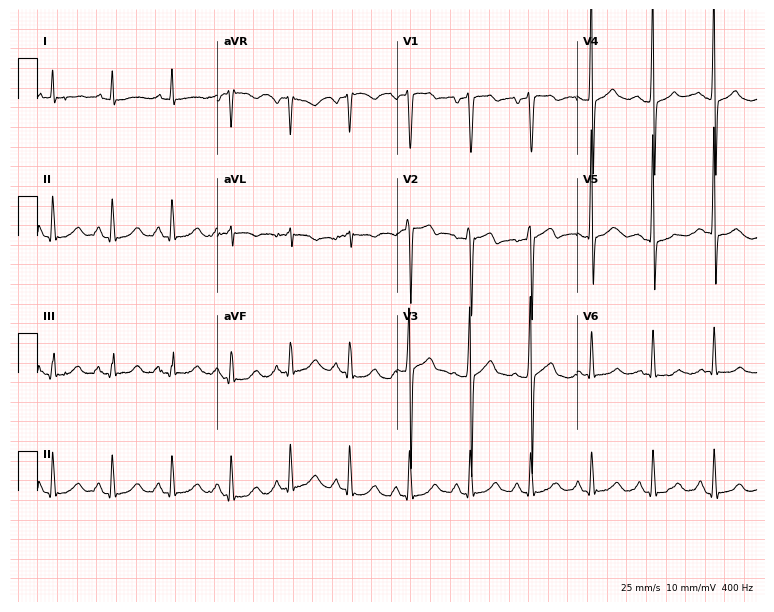
Electrocardiogram (7.3-second recording at 400 Hz), a male patient, 60 years old. Of the six screened findings (first-degree AV block, right bundle branch block, left bundle branch block, sinus bradycardia, atrial fibrillation, sinus tachycardia), none is recorded.